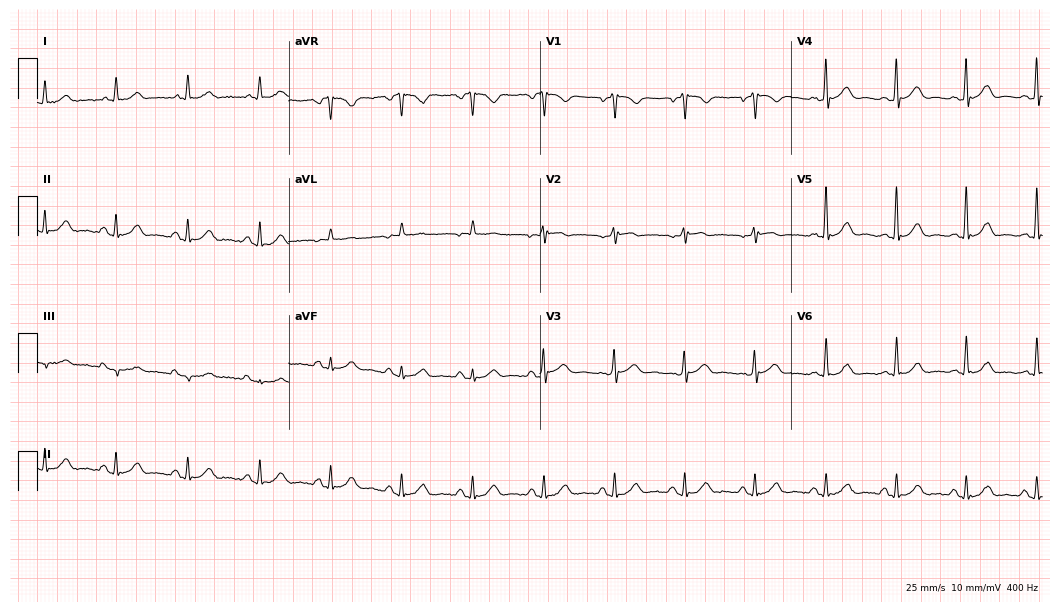
Standard 12-lead ECG recorded from an 80-year-old male (10.2-second recording at 400 Hz). Read as a normal ECG.